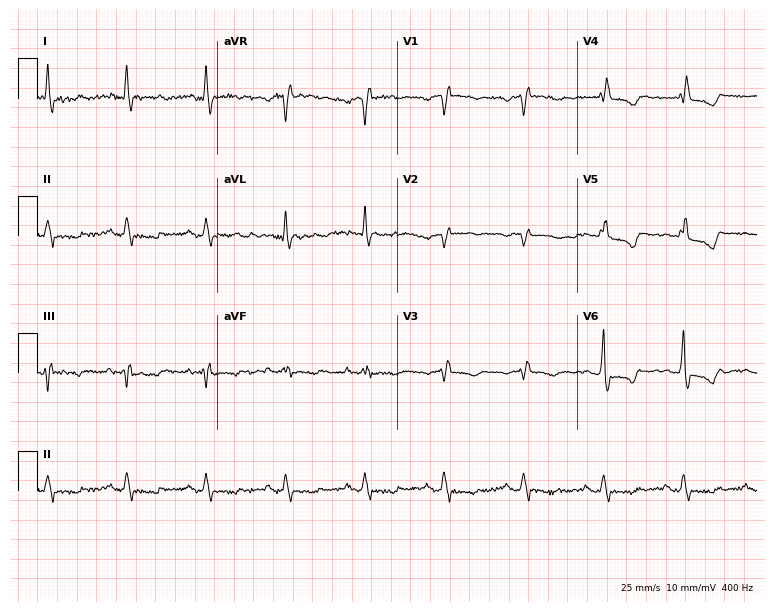
Standard 12-lead ECG recorded from an 83-year-old woman (7.3-second recording at 400 Hz). The tracing shows right bundle branch block (RBBB).